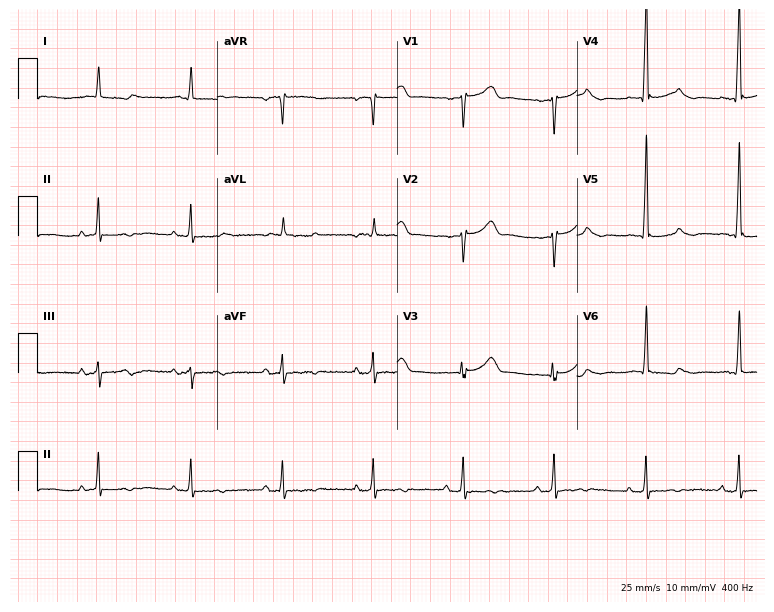
ECG (7.3-second recording at 400 Hz) — a male, 79 years old. Screened for six findings — first-degree AV block, right bundle branch block, left bundle branch block, sinus bradycardia, atrial fibrillation, sinus tachycardia — none is recorded. Other findings, if any, are not listed.